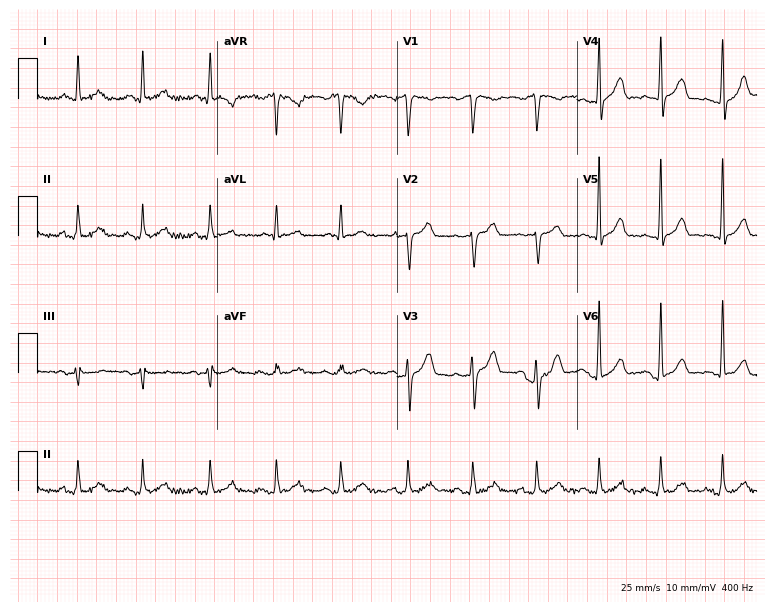
12-lead ECG (7.3-second recording at 400 Hz) from a man, 42 years old. Labelled as a normal ECG.